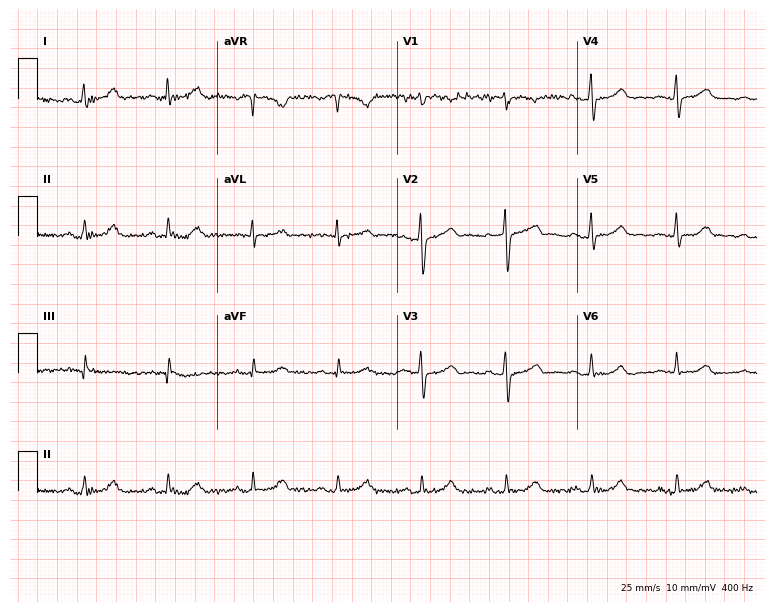
Resting 12-lead electrocardiogram (7.3-second recording at 400 Hz). Patient: a woman, 58 years old. None of these six findings is recorded: first-degree AV block, right bundle branch block, left bundle branch block, sinus bradycardia, atrial fibrillation, sinus tachycardia.